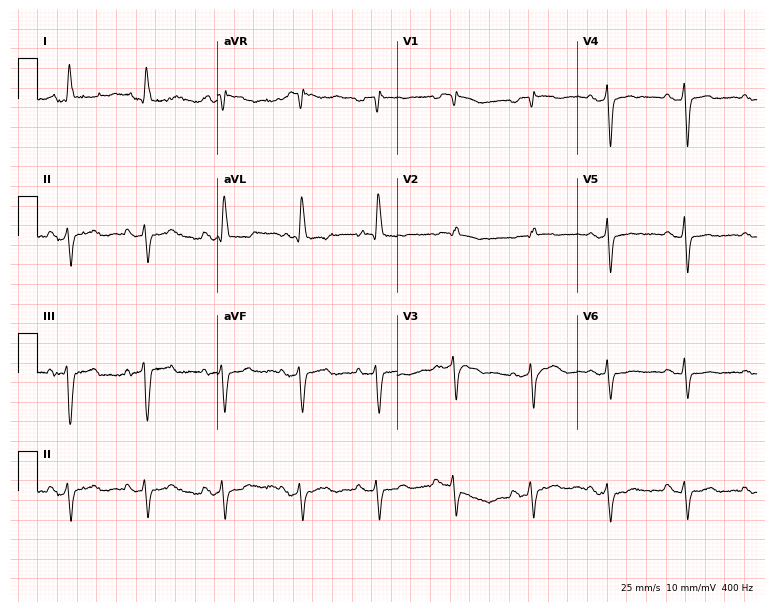
12-lead ECG (7.3-second recording at 400 Hz) from a 78-year-old woman. Findings include right bundle branch block.